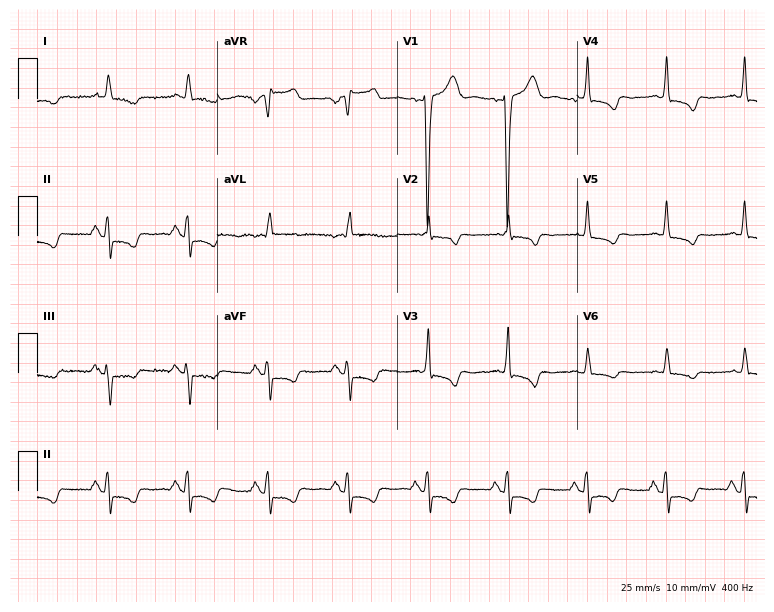
12-lead ECG (7.3-second recording at 400 Hz) from a female, 85 years old. Screened for six findings — first-degree AV block, right bundle branch block, left bundle branch block, sinus bradycardia, atrial fibrillation, sinus tachycardia — none is recorded. Other findings, if any, are not listed.